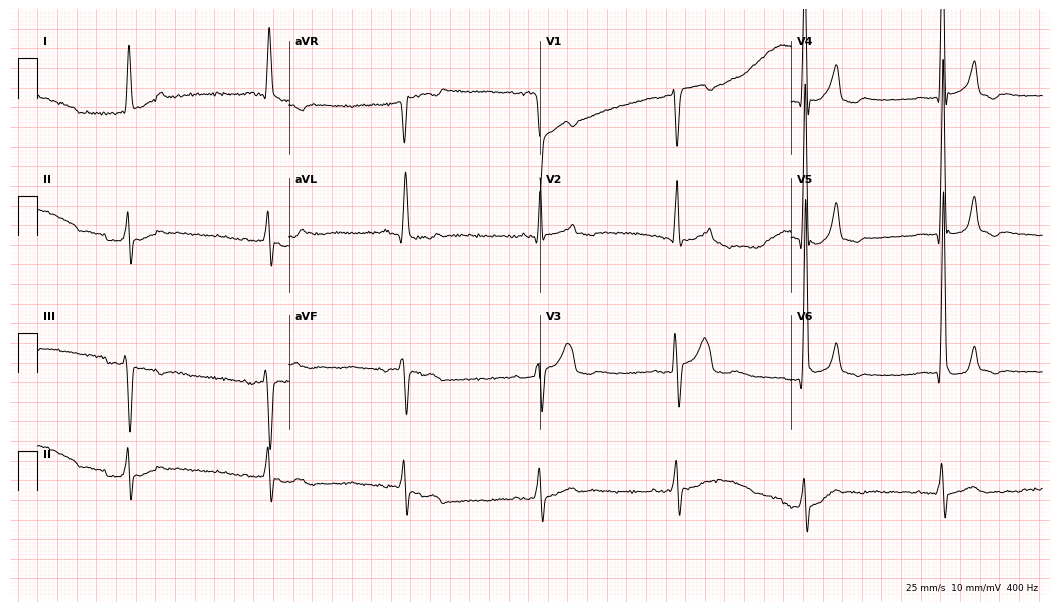
12-lead ECG from a male patient, 65 years old. Screened for six findings — first-degree AV block, right bundle branch block (RBBB), left bundle branch block (LBBB), sinus bradycardia, atrial fibrillation (AF), sinus tachycardia — none is recorded.